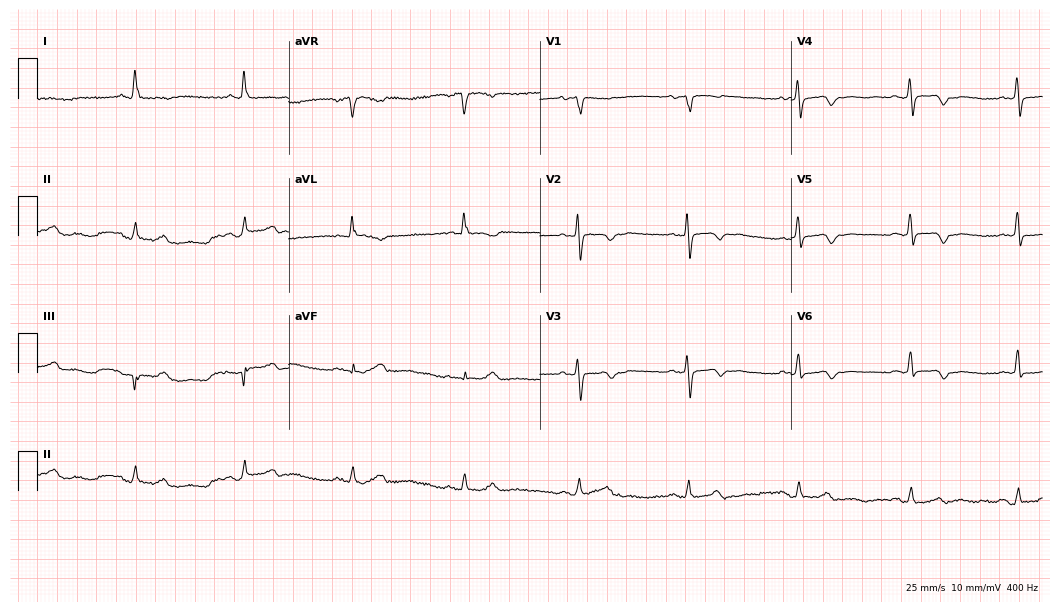
Electrocardiogram, a female, 71 years old. Of the six screened findings (first-degree AV block, right bundle branch block, left bundle branch block, sinus bradycardia, atrial fibrillation, sinus tachycardia), none is recorded. Only these six findings were labelled.